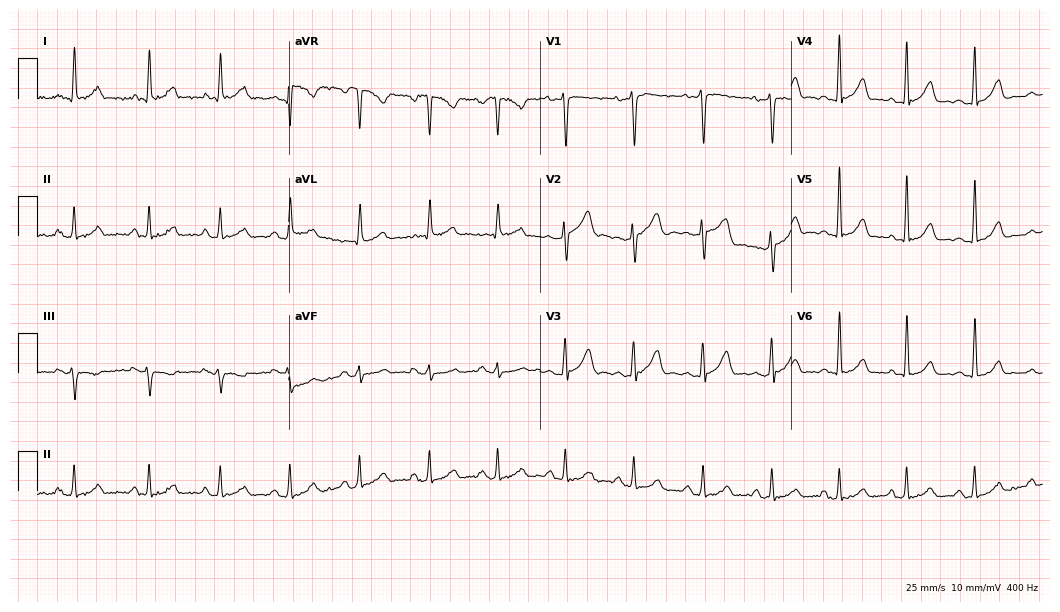
12-lead ECG (10.2-second recording at 400 Hz) from a woman, 38 years old. Labelled as a normal ECG.